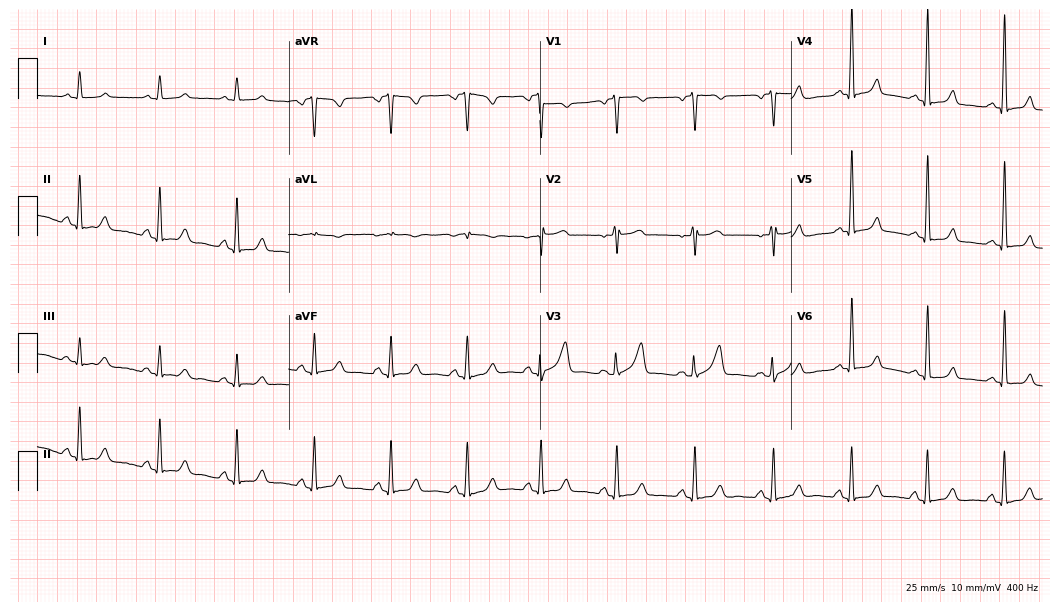
Resting 12-lead electrocardiogram. Patient: a 51-year-old female. None of these six findings is recorded: first-degree AV block, right bundle branch block, left bundle branch block, sinus bradycardia, atrial fibrillation, sinus tachycardia.